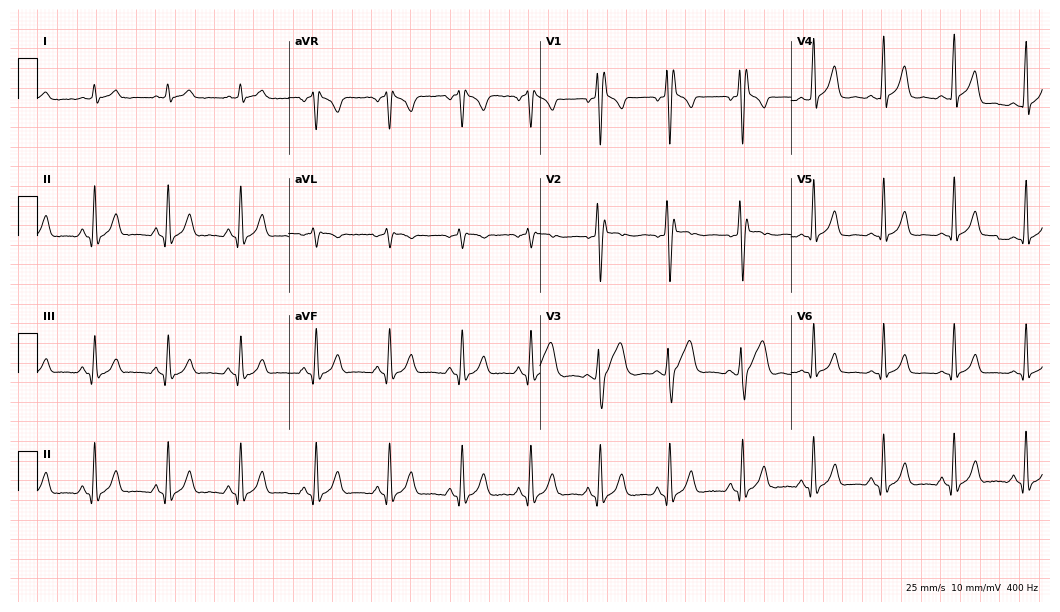
Standard 12-lead ECG recorded from a man, 25 years old. The tracing shows right bundle branch block.